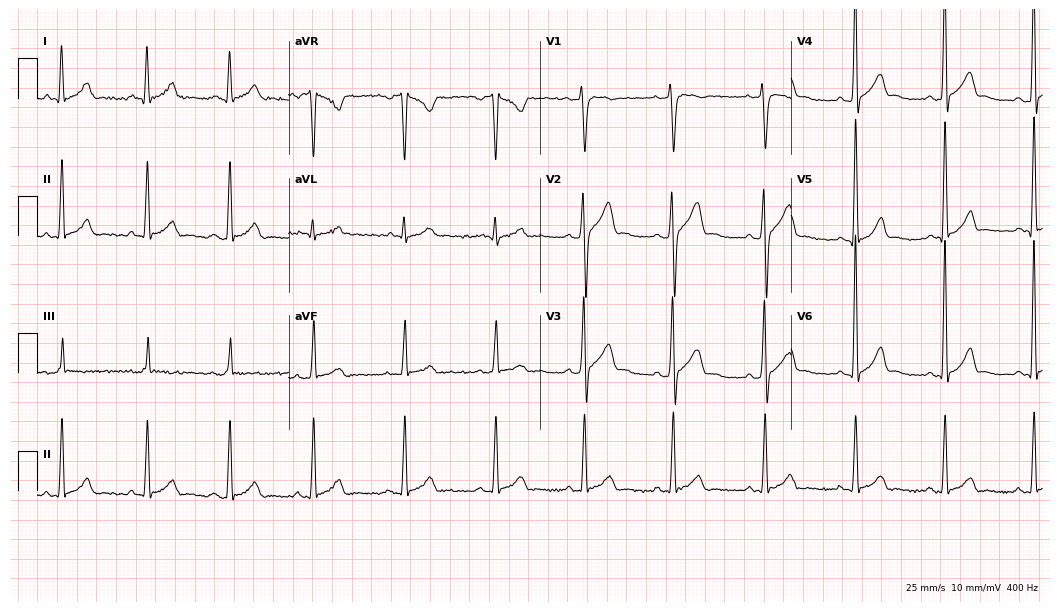
Electrocardiogram (10.2-second recording at 400 Hz), a 25-year-old male patient. Overall reading on record: normal ECG.